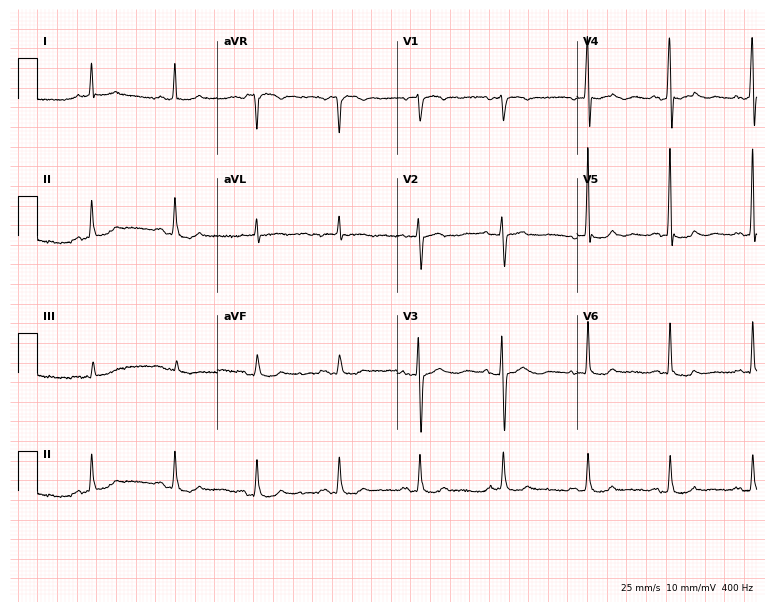
12-lead ECG (7.3-second recording at 400 Hz) from a 72-year-old woman. Screened for six findings — first-degree AV block, right bundle branch block, left bundle branch block, sinus bradycardia, atrial fibrillation, sinus tachycardia — none is recorded.